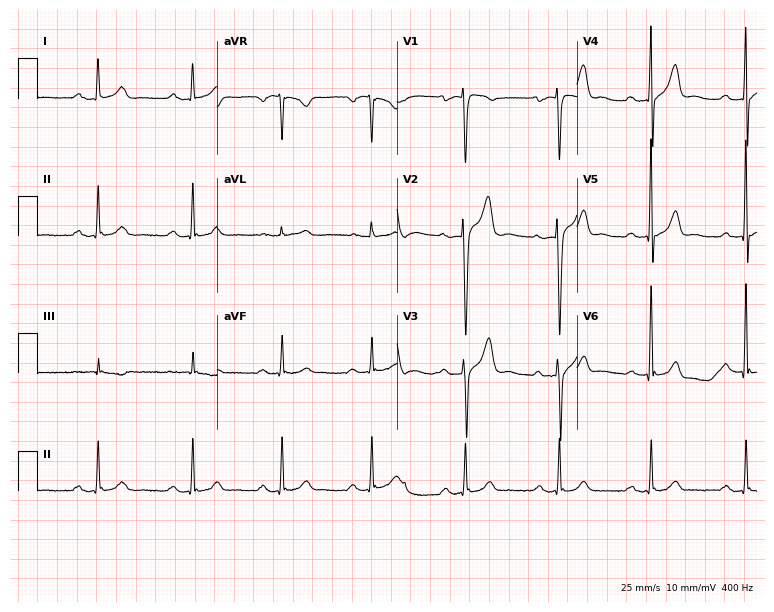
Standard 12-lead ECG recorded from a 42-year-old male (7.3-second recording at 400 Hz). The tracing shows first-degree AV block.